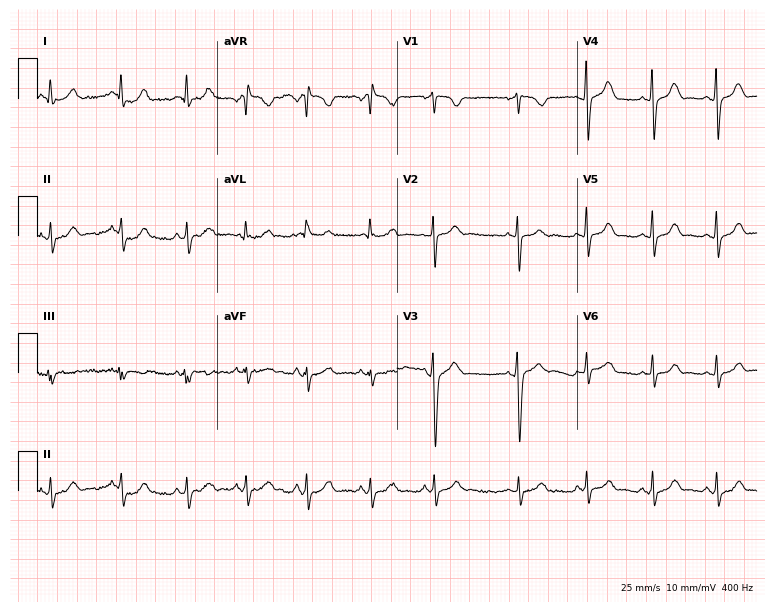
Resting 12-lead electrocardiogram (7.3-second recording at 400 Hz). Patient: a woman, 19 years old. Read as a normal ECG.